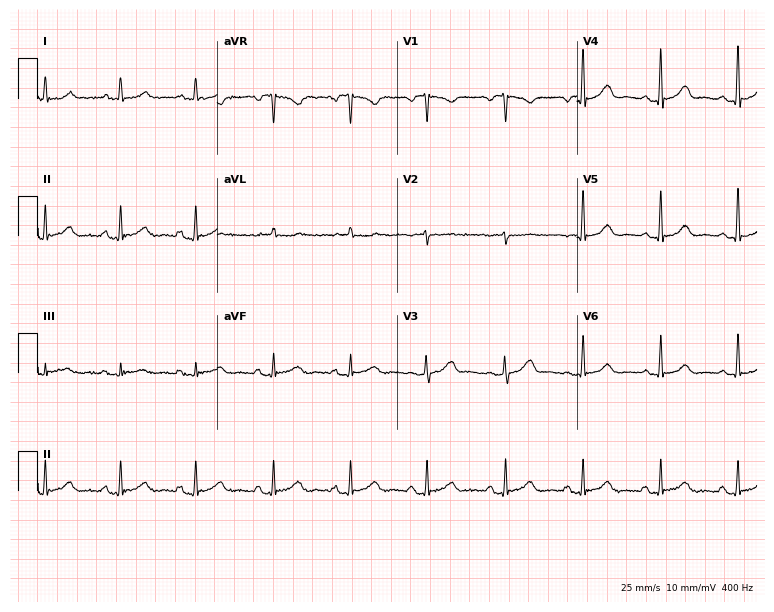
Electrocardiogram (7.3-second recording at 400 Hz), a 54-year-old female patient. Of the six screened findings (first-degree AV block, right bundle branch block, left bundle branch block, sinus bradycardia, atrial fibrillation, sinus tachycardia), none is recorded. Findings outside these six are not listed.